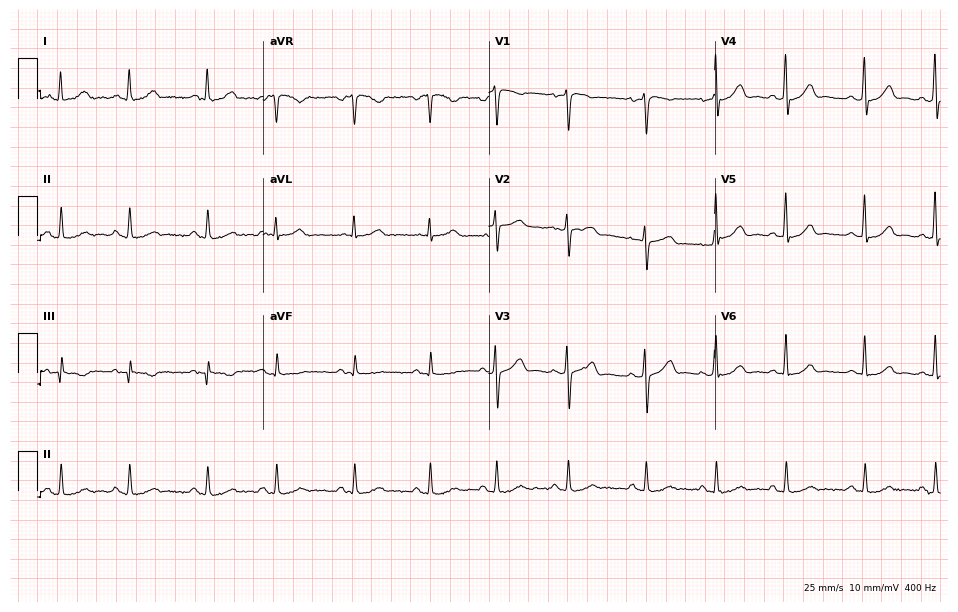
ECG — a female, 36 years old. Labelled as a normal ECG.